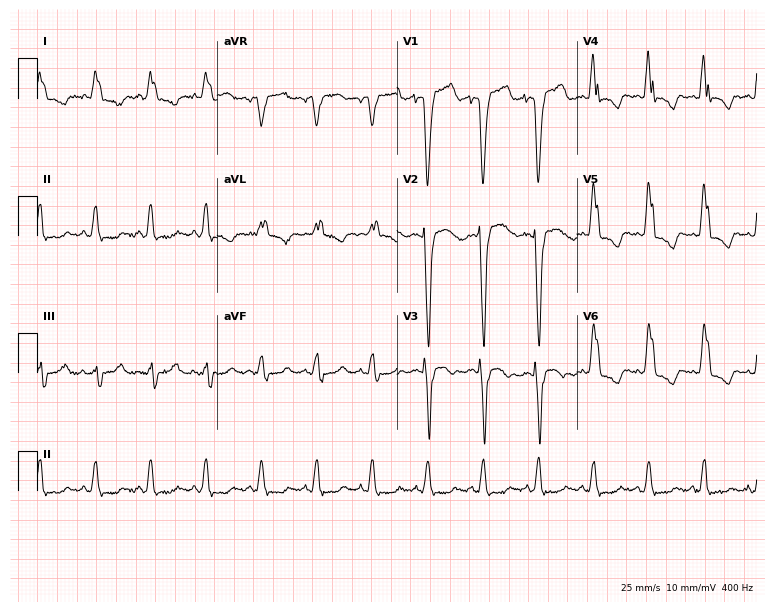
Standard 12-lead ECG recorded from a female, 56 years old. The tracing shows left bundle branch block, sinus tachycardia (a sinus rate of 100 beats per minute or more).